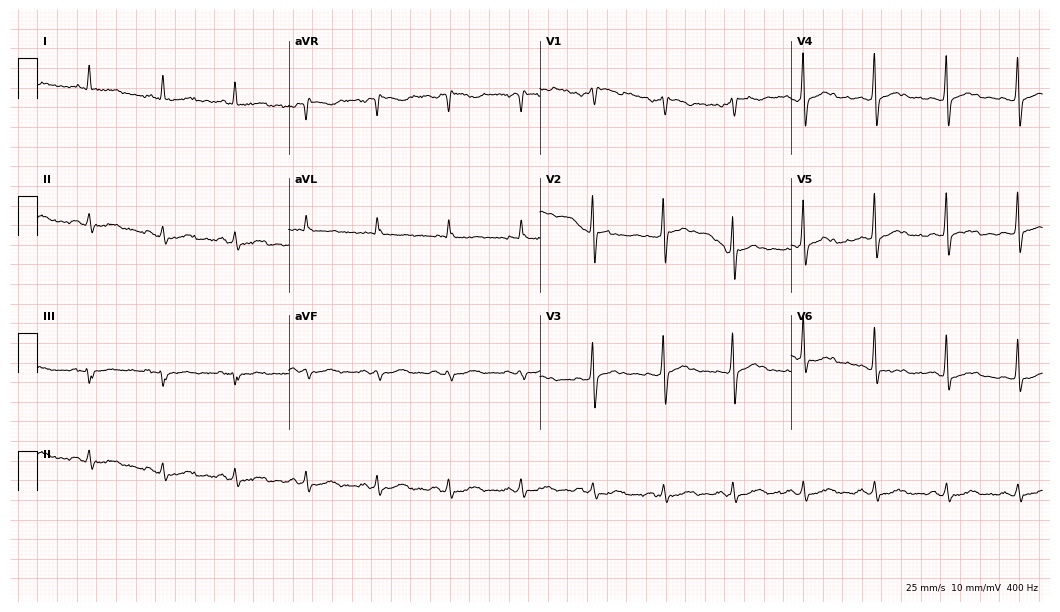
12-lead ECG from a 70-year-old male patient. Screened for six findings — first-degree AV block, right bundle branch block, left bundle branch block, sinus bradycardia, atrial fibrillation, sinus tachycardia — none is recorded. Only these six findings were labelled.